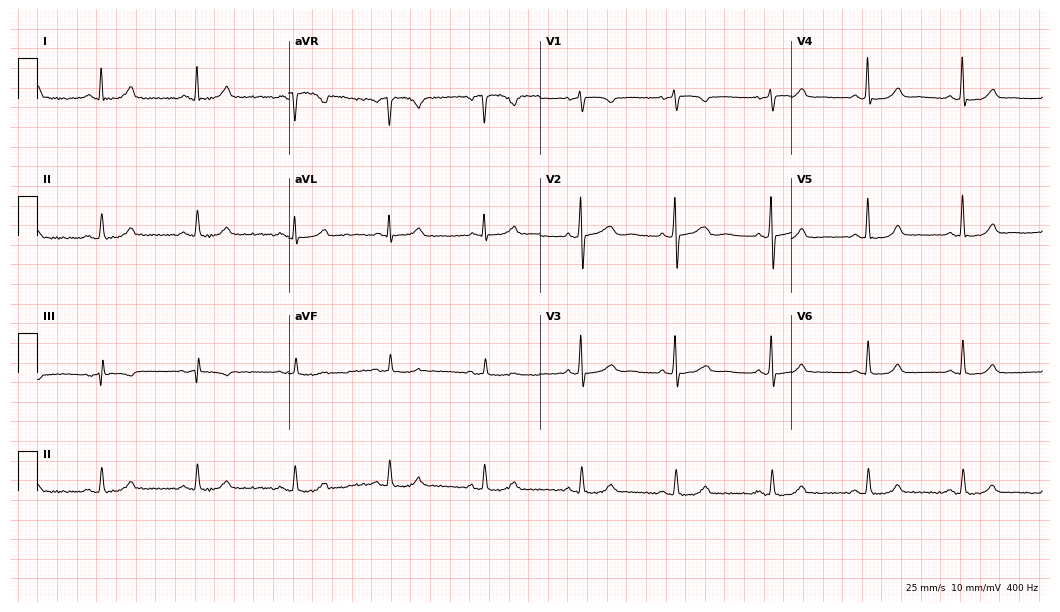
Resting 12-lead electrocardiogram (10.2-second recording at 400 Hz). Patient: a woman, 61 years old. Read as a normal ECG.